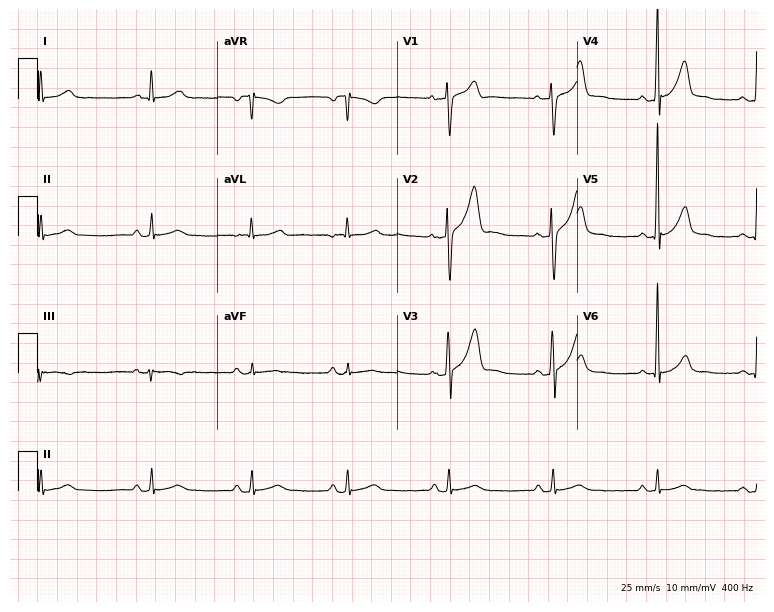
12-lead ECG from a man, 40 years old. Recorded interpretation: within normal limits.